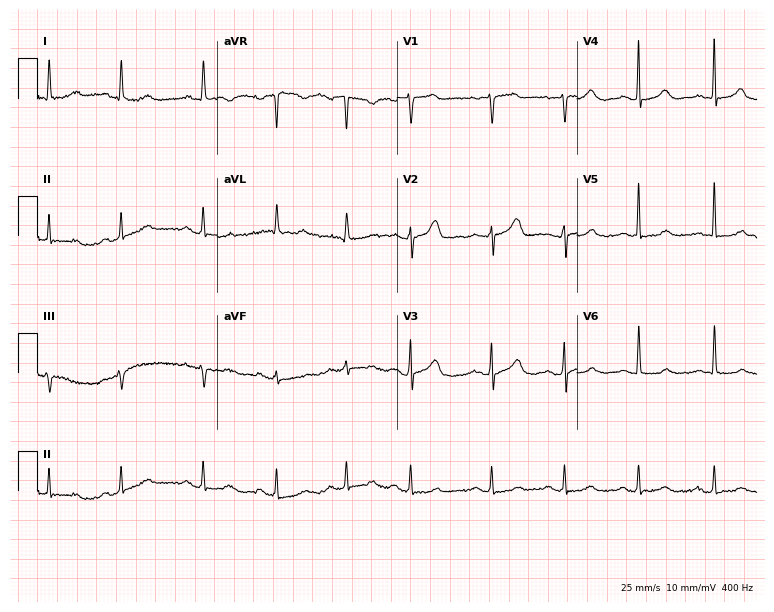
12-lead ECG from a 75-year-old woman. Labelled as a normal ECG.